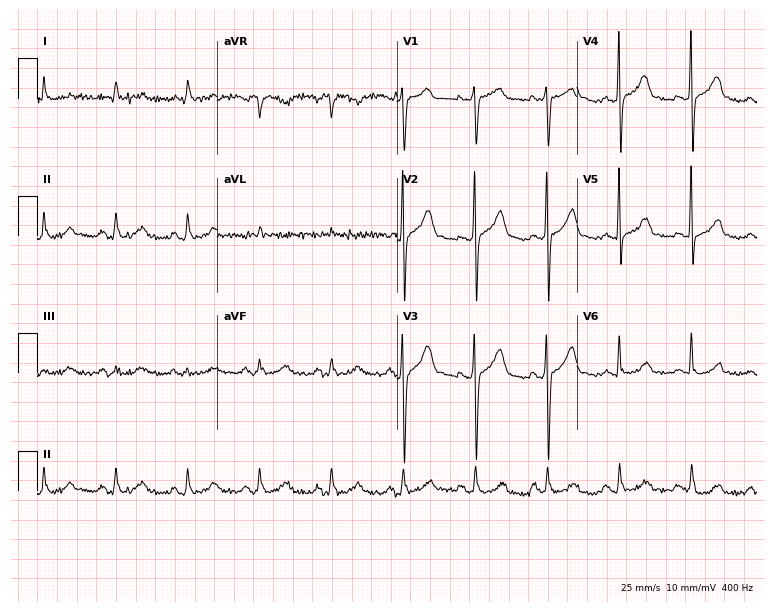
12-lead ECG from a male, 81 years old (7.3-second recording at 400 Hz). No first-degree AV block, right bundle branch block (RBBB), left bundle branch block (LBBB), sinus bradycardia, atrial fibrillation (AF) or sinus tachycardia recorded for this tracing.